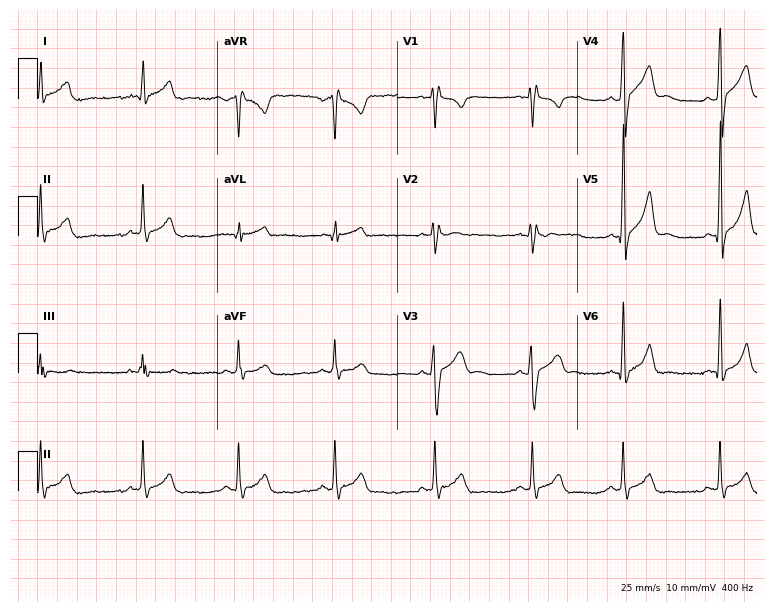
Standard 12-lead ECG recorded from a 34-year-old man. None of these six findings is recorded: first-degree AV block, right bundle branch block, left bundle branch block, sinus bradycardia, atrial fibrillation, sinus tachycardia. Only these six findings were labelled.